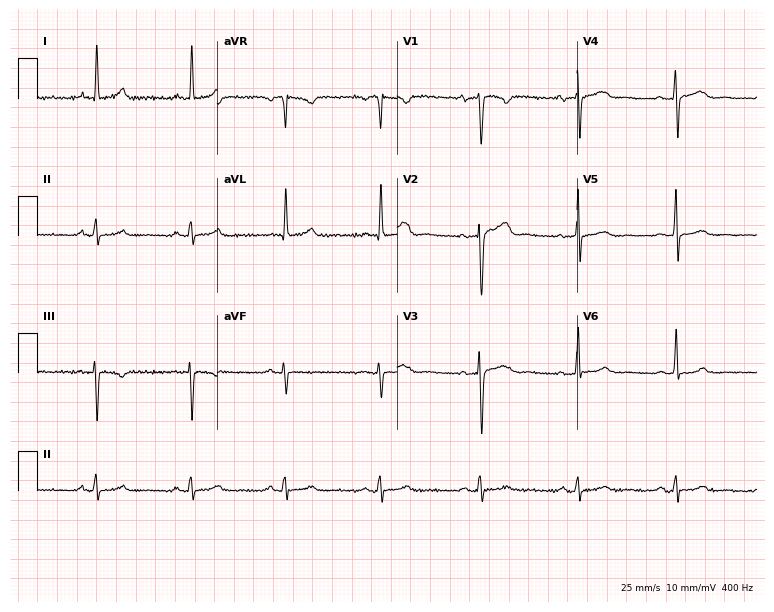
12-lead ECG (7.3-second recording at 400 Hz) from a male, 53 years old. Labelled as a normal ECG.